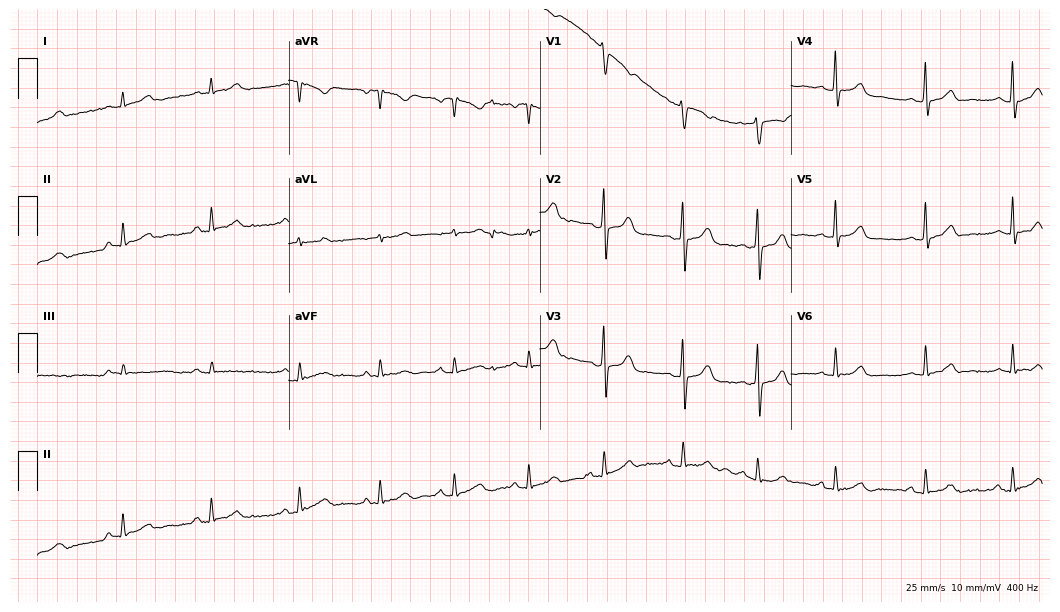
Electrocardiogram (10.2-second recording at 400 Hz), a woman, 27 years old. Overall reading on record: normal ECG.